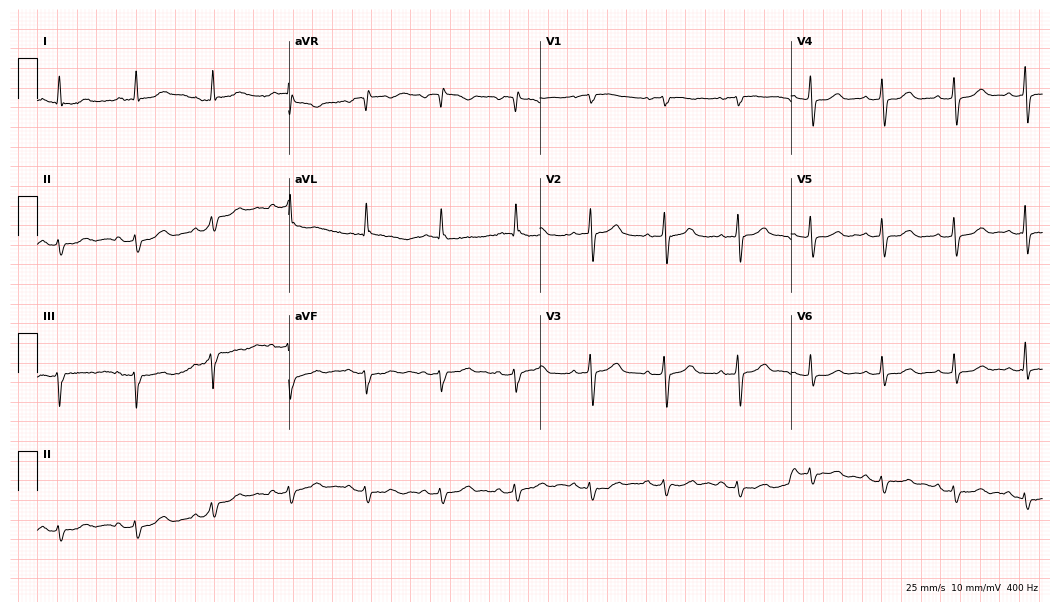
Standard 12-lead ECG recorded from a male, 85 years old. None of these six findings is recorded: first-degree AV block, right bundle branch block (RBBB), left bundle branch block (LBBB), sinus bradycardia, atrial fibrillation (AF), sinus tachycardia.